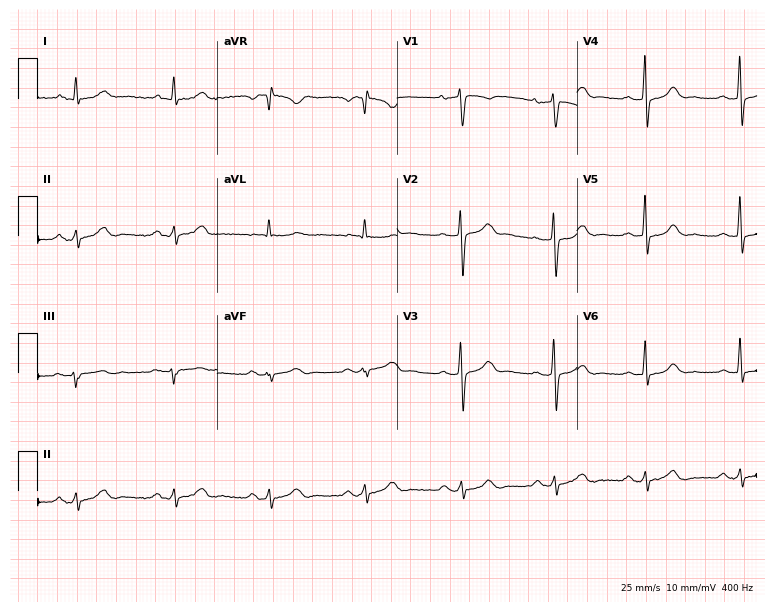
Standard 12-lead ECG recorded from a man, 57 years old. None of these six findings is recorded: first-degree AV block, right bundle branch block, left bundle branch block, sinus bradycardia, atrial fibrillation, sinus tachycardia. Only these six findings were labelled.